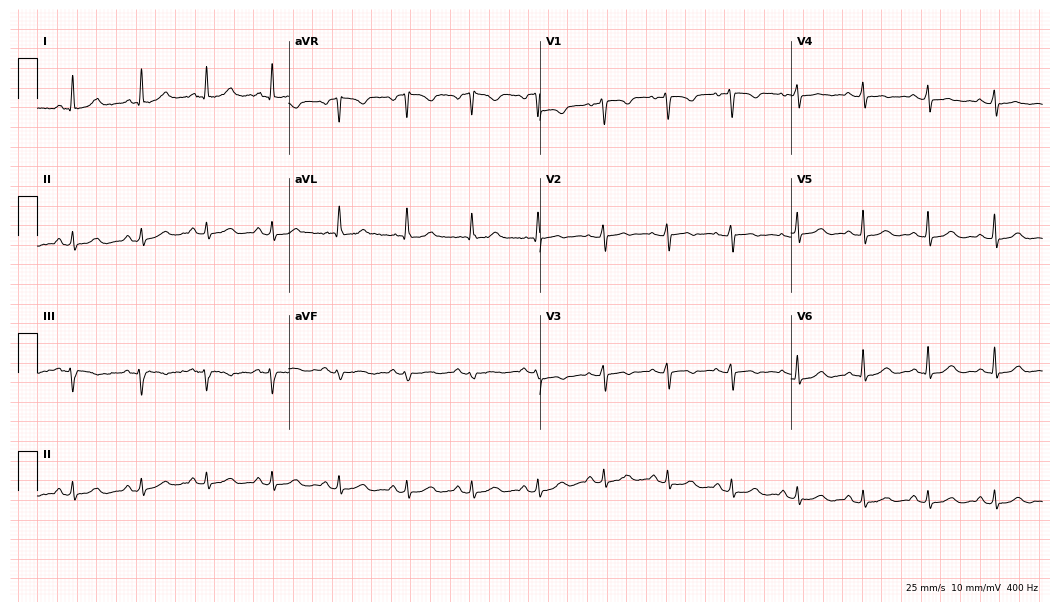
12-lead ECG (10.2-second recording at 400 Hz) from a female patient, 44 years old. Labelled as a normal ECG.